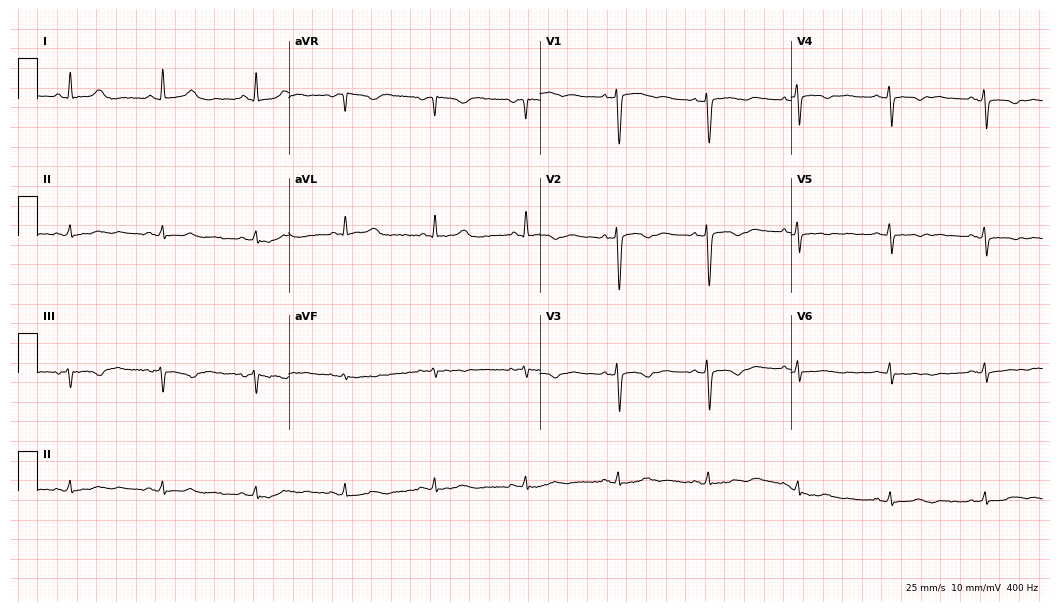
12-lead ECG from a female patient, 57 years old. Screened for six findings — first-degree AV block, right bundle branch block, left bundle branch block, sinus bradycardia, atrial fibrillation, sinus tachycardia — none is recorded. Findings outside these six are not listed.